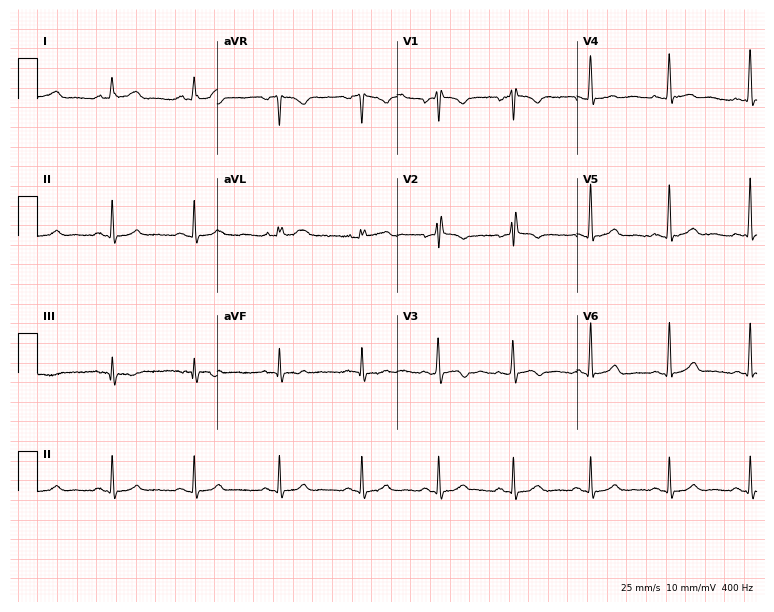
ECG (7.3-second recording at 400 Hz) — a 28-year-old woman. Screened for six findings — first-degree AV block, right bundle branch block, left bundle branch block, sinus bradycardia, atrial fibrillation, sinus tachycardia — none is recorded.